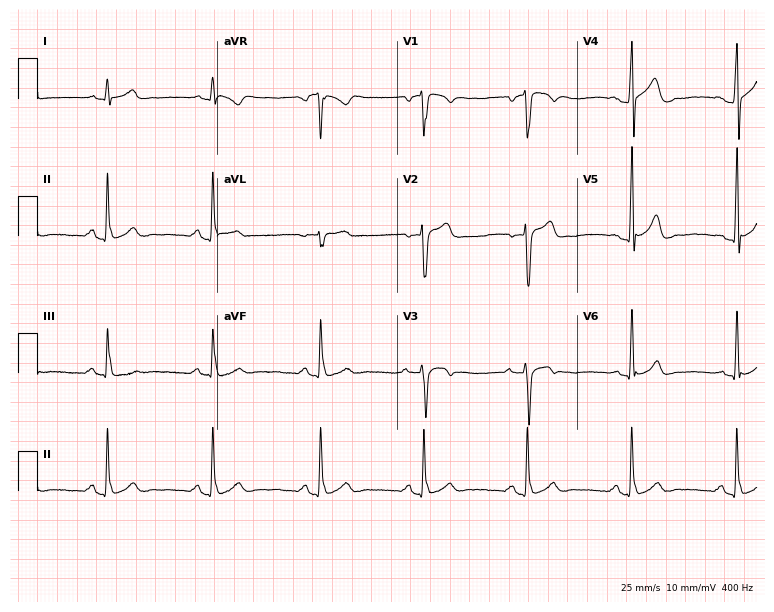
ECG — a 28-year-old man. Labelled as a normal ECG.